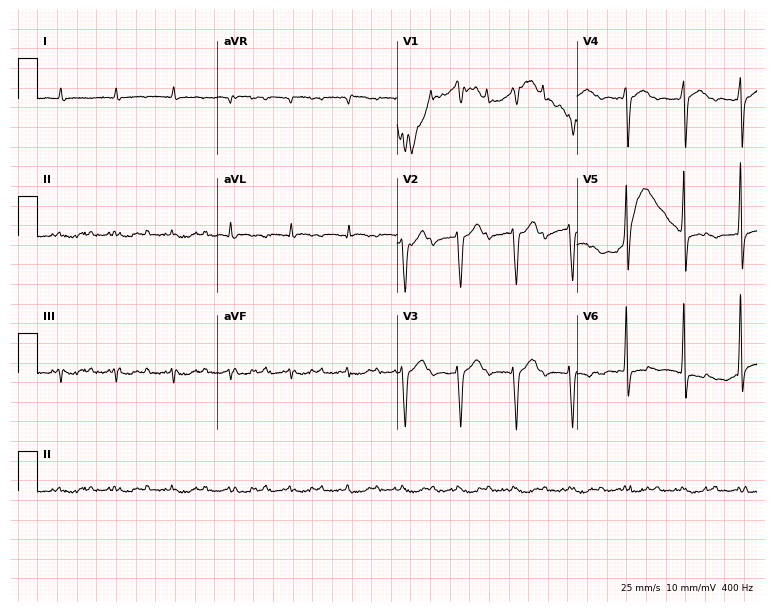
ECG — a man, 88 years old. Findings include sinus tachycardia (a sinus rate of 100 beats per minute or more).